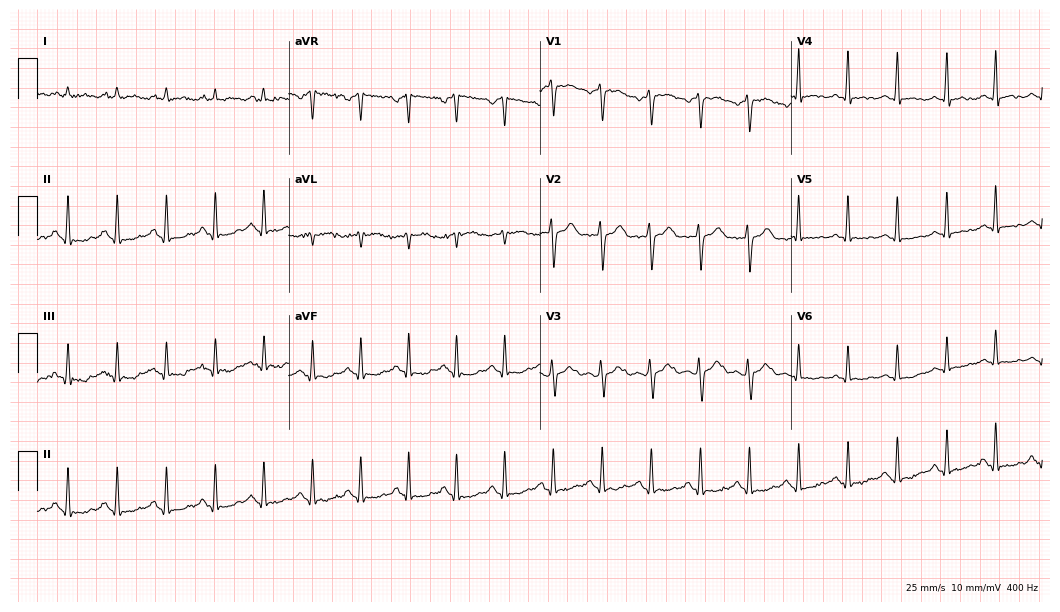
12-lead ECG (10.2-second recording at 400 Hz) from a woman, 37 years old. Findings include sinus tachycardia (a sinus rate of 100 beats per minute or more).